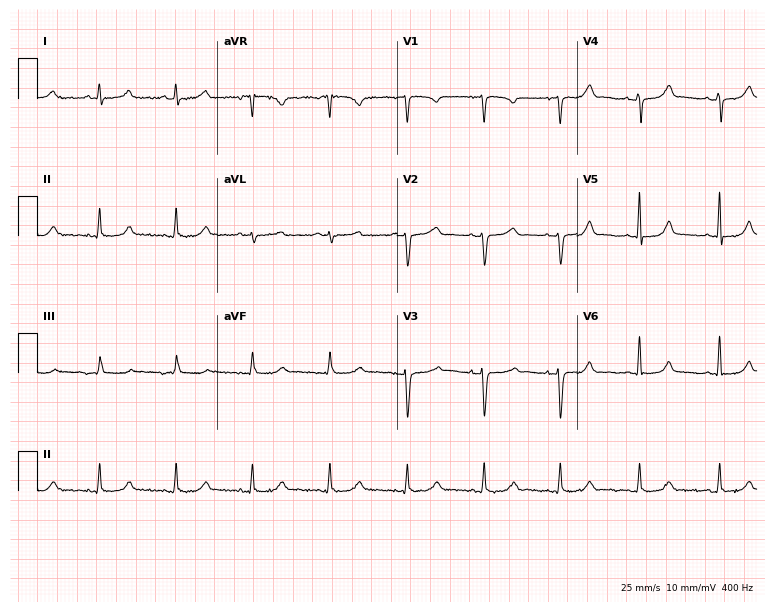
Resting 12-lead electrocardiogram (7.3-second recording at 400 Hz). Patient: a 57-year-old woman. Read as a normal ECG.